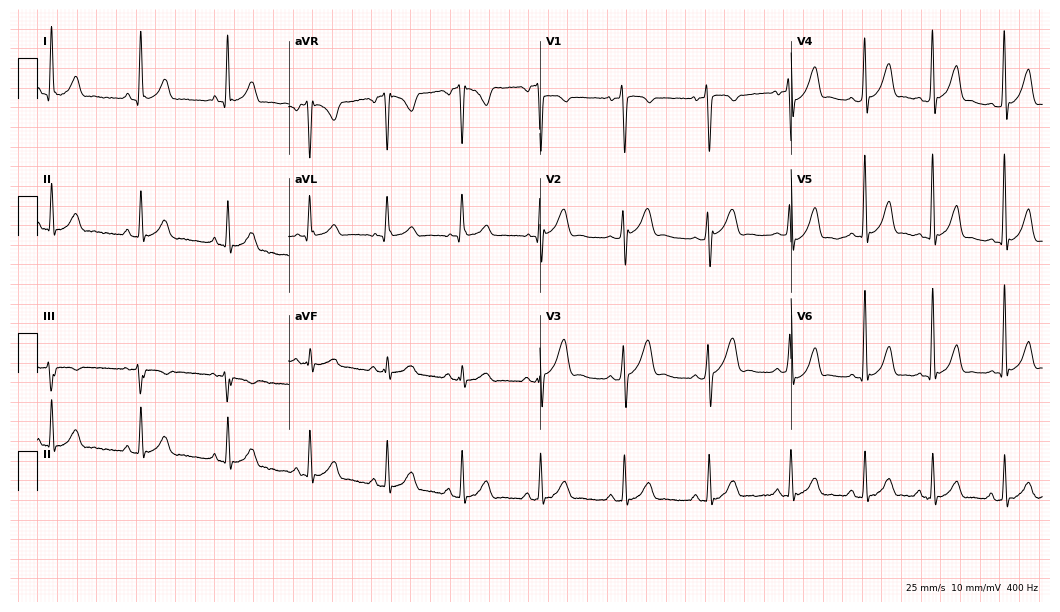
ECG (10.2-second recording at 400 Hz) — an 18-year-old man. Screened for six findings — first-degree AV block, right bundle branch block (RBBB), left bundle branch block (LBBB), sinus bradycardia, atrial fibrillation (AF), sinus tachycardia — none is recorded.